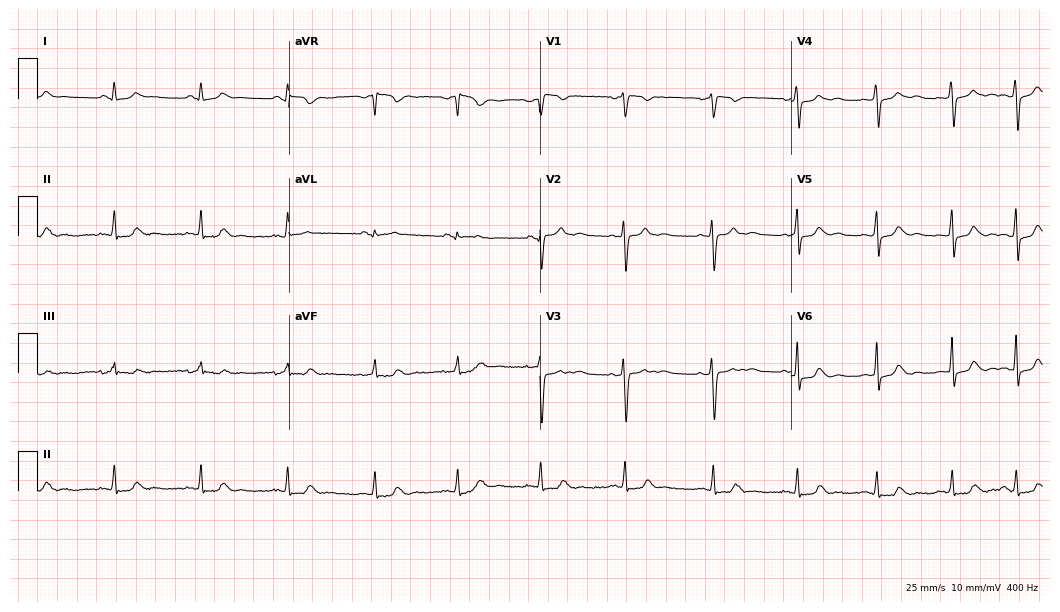
Electrocardiogram, a female, 24 years old. Overall reading on record: normal ECG.